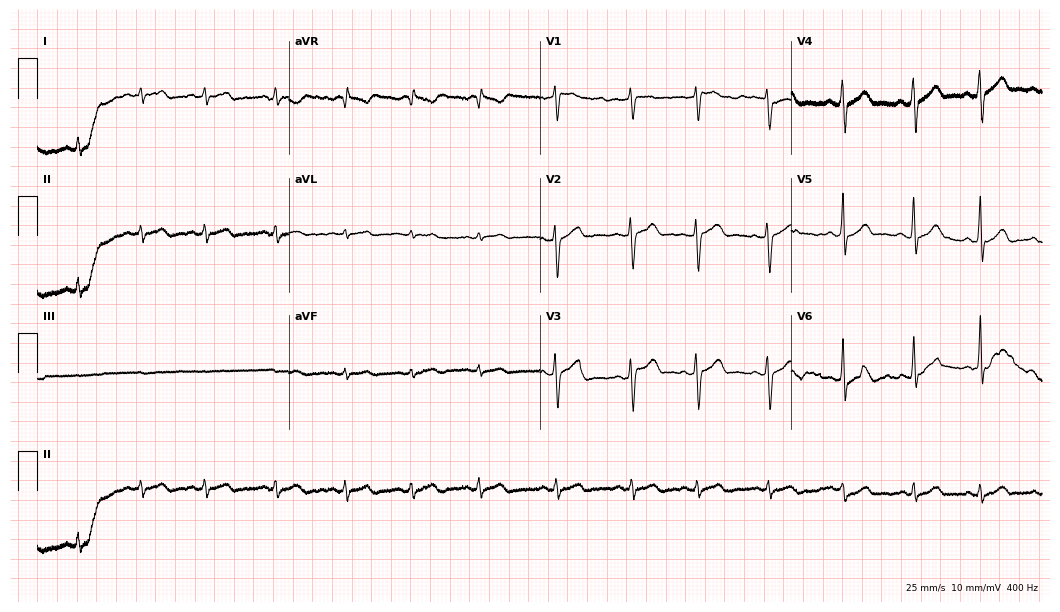
Standard 12-lead ECG recorded from a 53-year-old male patient (10.2-second recording at 400 Hz). None of these six findings is recorded: first-degree AV block, right bundle branch block (RBBB), left bundle branch block (LBBB), sinus bradycardia, atrial fibrillation (AF), sinus tachycardia.